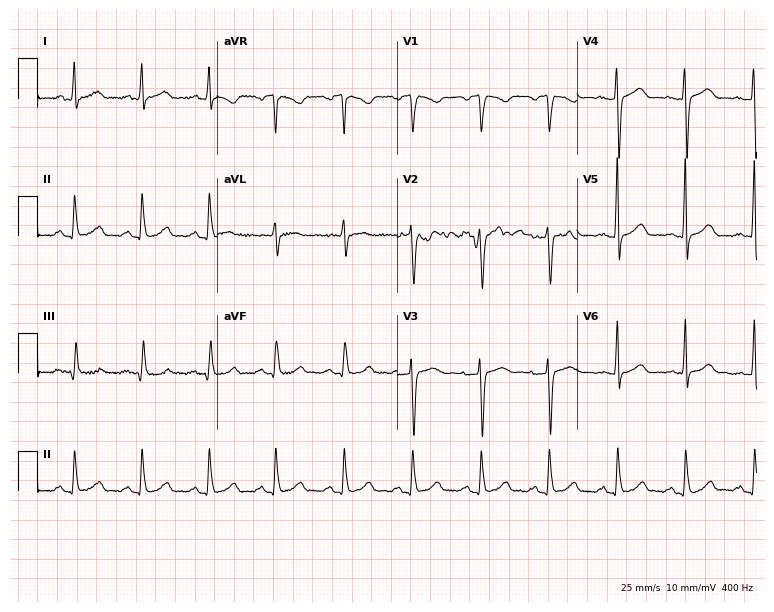
ECG (7.3-second recording at 400 Hz) — a 60-year-old woman. Screened for six findings — first-degree AV block, right bundle branch block, left bundle branch block, sinus bradycardia, atrial fibrillation, sinus tachycardia — none is recorded.